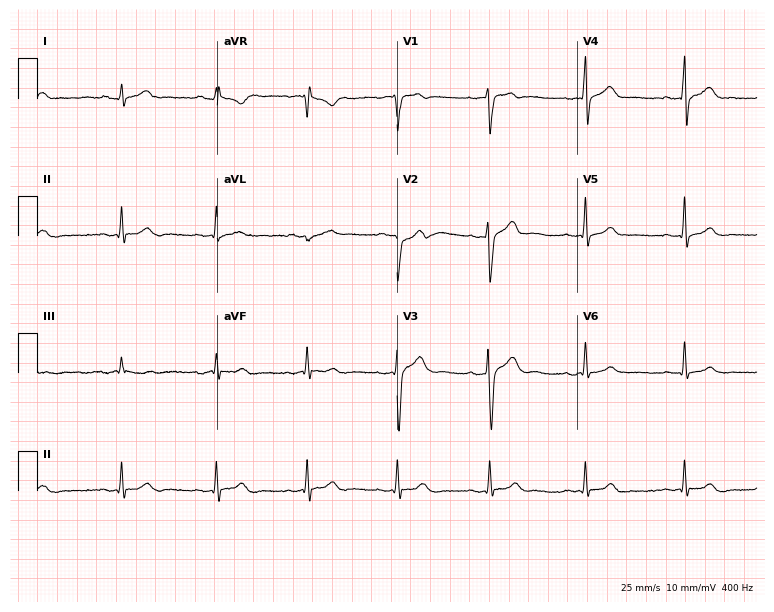
Resting 12-lead electrocardiogram. Patient: a man, 26 years old. None of these six findings is recorded: first-degree AV block, right bundle branch block, left bundle branch block, sinus bradycardia, atrial fibrillation, sinus tachycardia.